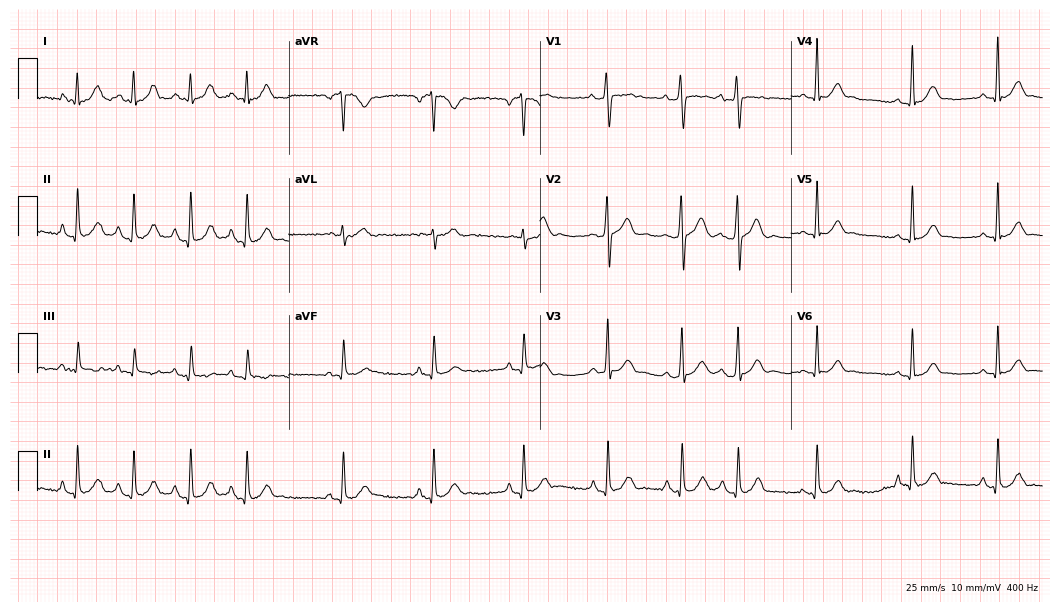
Standard 12-lead ECG recorded from a man, 20 years old. None of these six findings is recorded: first-degree AV block, right bundle branch block, left bundle branch block, sinus bradycardia, atrial fibrillation, sinus tachycardia. Only these six findings were labelled.